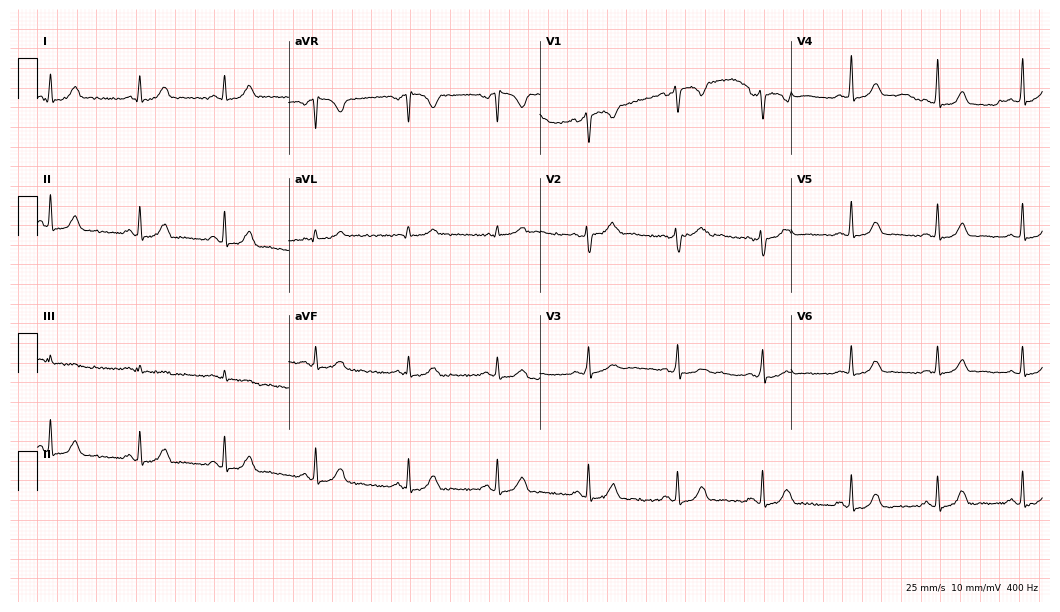
Electrocardiogram (10.2-second recording at 400 Hz), a 35-year-old woman. Of the six screened findings (first-degree AV block, right bundle branch block, left bundle branch block, sinus bradycardia, atrial fibrillation, sinus tachycardia), none is recorded.